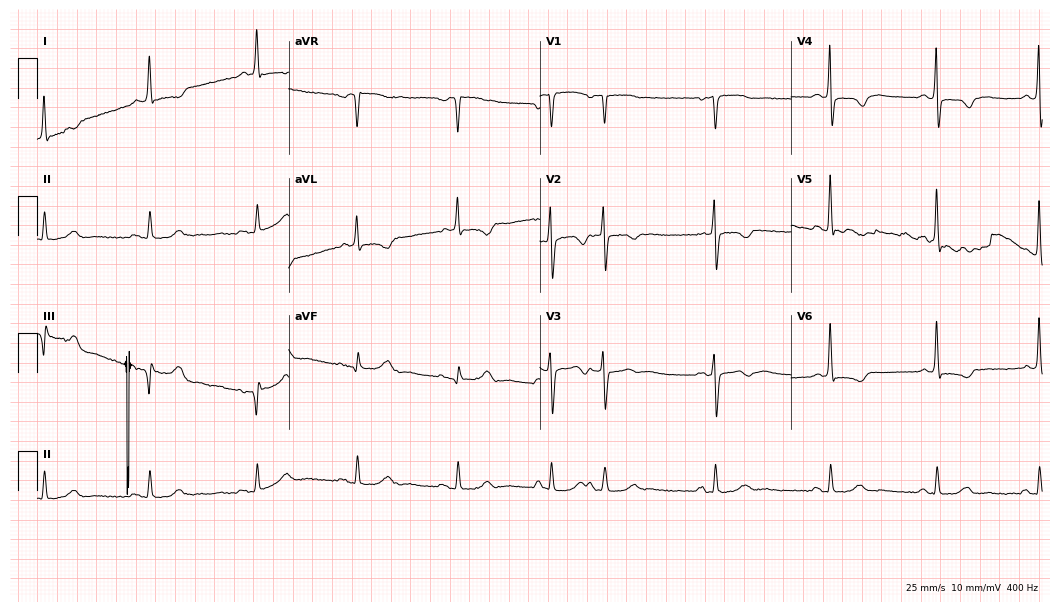
Resting 12-lead electrocardiogram. Patient: a 67-year-old female. None of these six findings is recorded: first-degree AV block, right bundle branch block (RBBB), left bundle branch block (LBBB), sinus bradycardia, atrial fibrillation (AF), sinus tachycardia. Only these six findings were labelled.